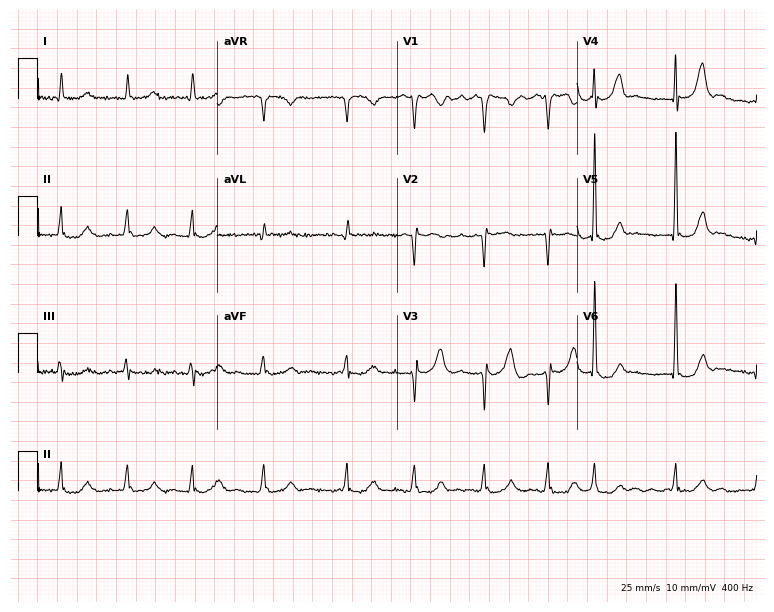
Resting 12-lead electrocardiogram. Patient: a man, 80 years old. The tracing shows atrial fibrillation.